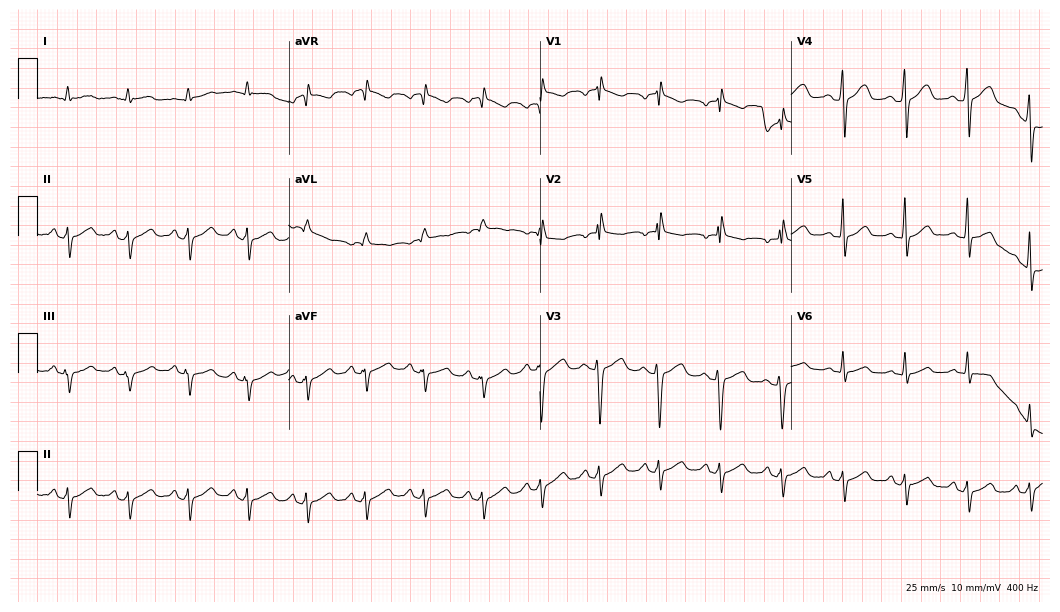
12-lead ECG from a 33-year-old male patient. No first-degree AV block, right bundle branch block, left bundle branch block, sinus bradycardia, atrial fibrillation or sinus tachycardia recorded for this tracing.